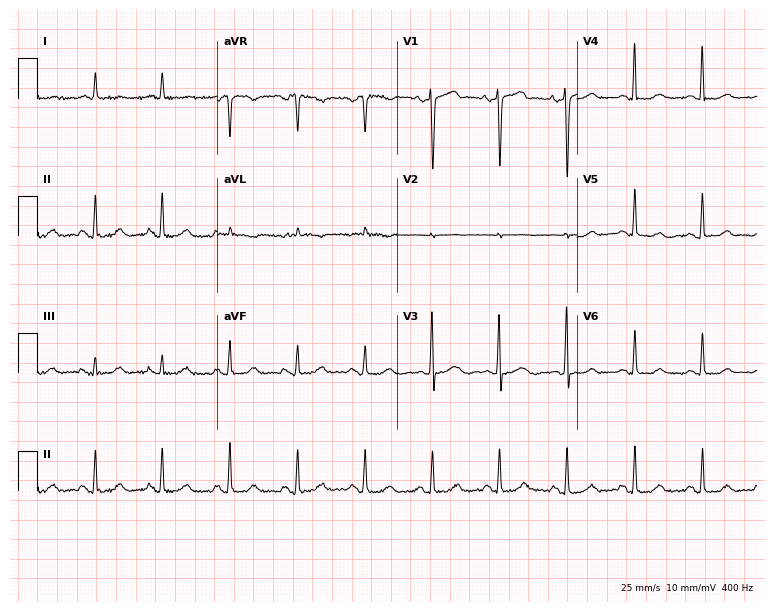
12-lead ECG (7.3-second recording at 400 Hz) from an 81-year-old female. Labelled as a normal ECG.